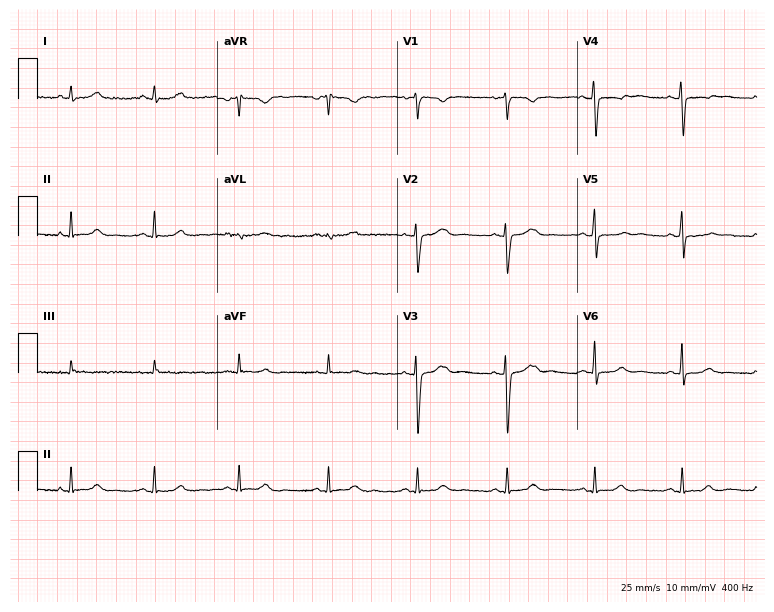
Standard 12-lead ECG recorded from a 43-year-old female (7.3-second recording at 400 Hz). None of these six findings is recorded: first-degree AV block, right bundle branch block, left bundle branch block, sinus bradycardia, atrial fibrillation, sinus tachycardia.